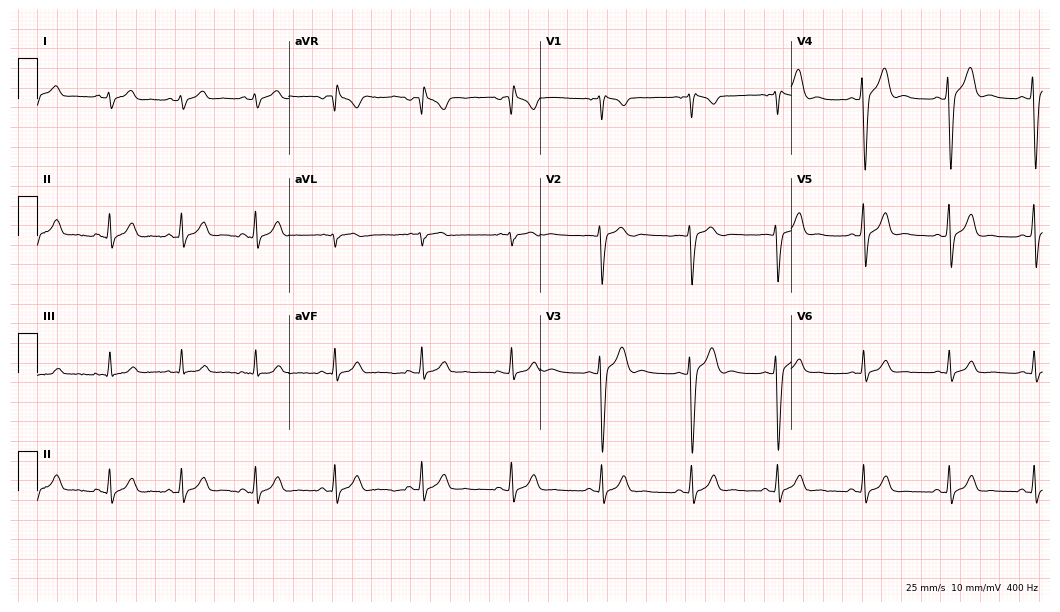
Resting 12-lead electrocardiogram (10.2-second recording at 400 Hz). Patient: a male, 20 years old. Read as a normal ECG.